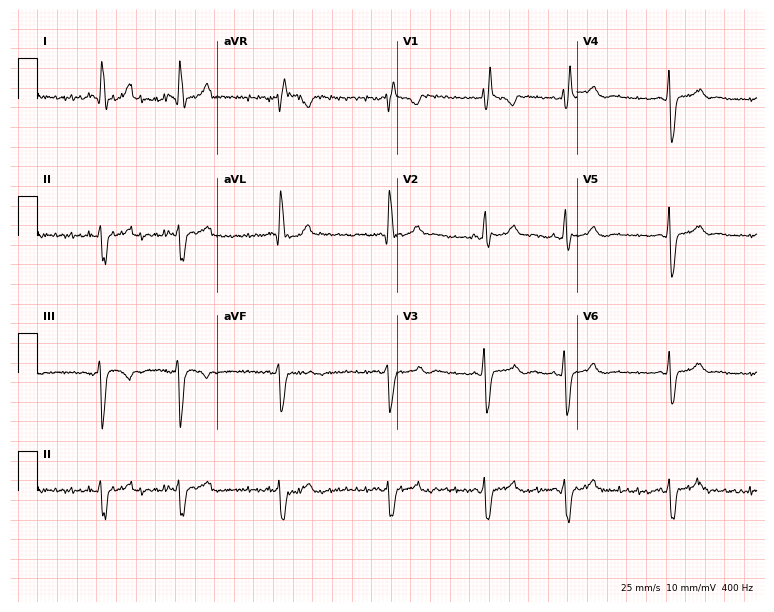
Resting 12-lead electrocardiogram (7.3-second recording at 400 Hz). Patient: a female, 36 years old. The tracing shows right bundle branch block.